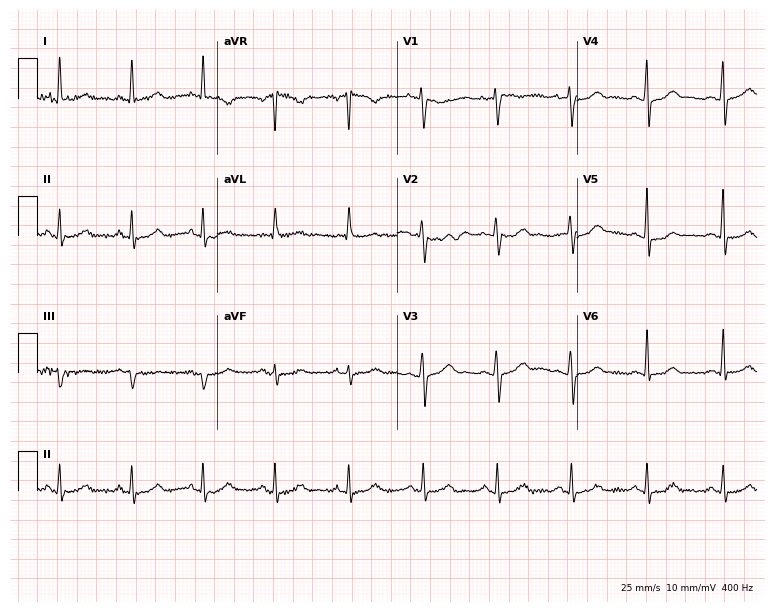
Resting 12-lead electrocardiogram. Patient: a female, 55 years old. Read as a normal ECG.